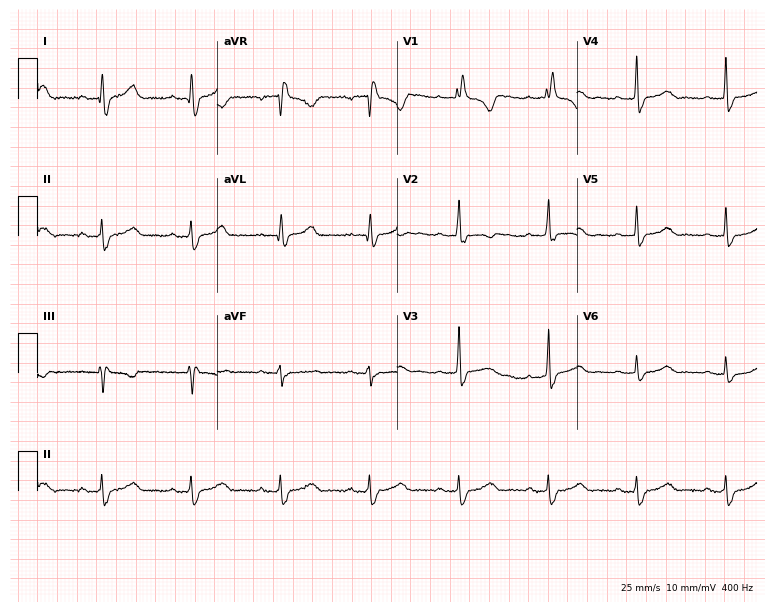
Standard 12-lead ECG recorded from a female, 40 years old (7.3-second recording at 400 Hz). The tracing shows right bundle branch block.